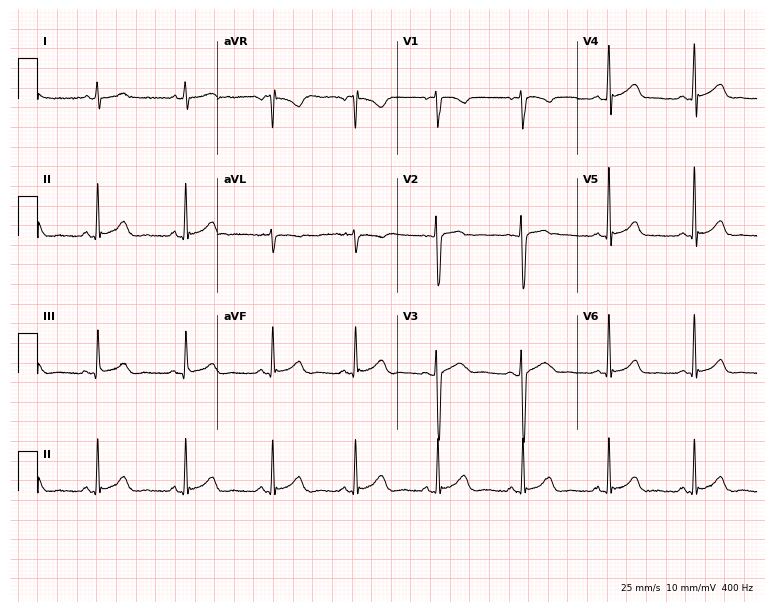
ECG (7.3-second recording at 400 Hz) — a 33-year-old female patient. Labelled as a normal ECG.